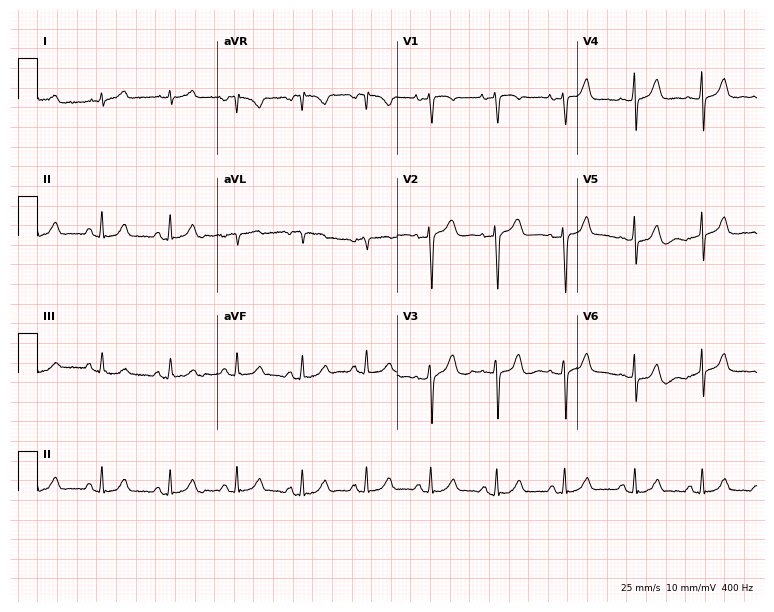
12-lead ECG from a woman, 59 years old. No first-degree AV block, right bundle branch block (RBBB), left bundle branch block (LBBB), sinus bradycardia, atrial fibrillation (AF) or sinus tachycardia recorded for this tracing.